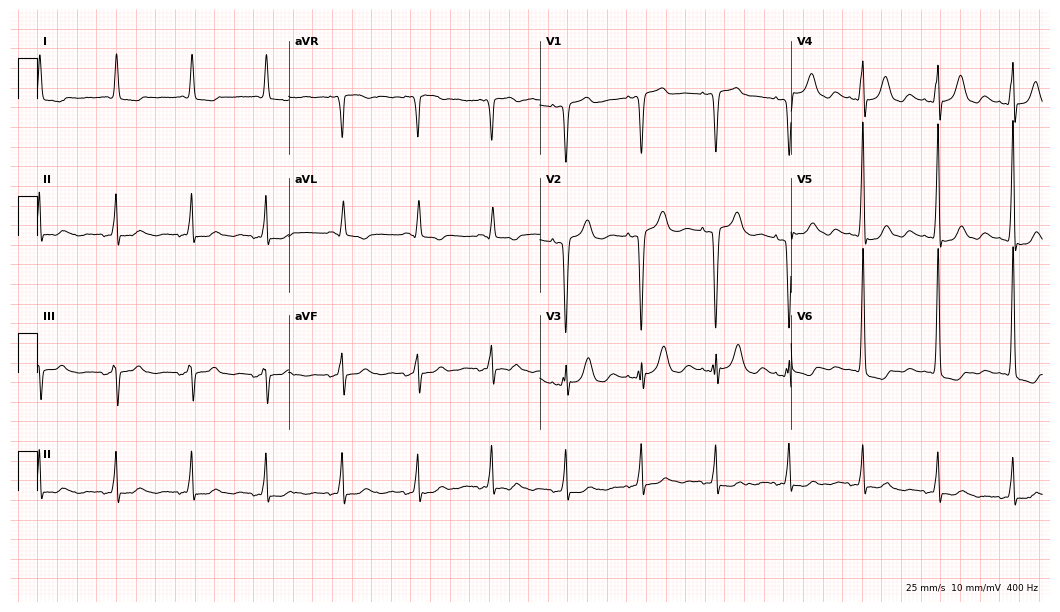
12-lead ECG from an 82-year-old female. No first-degree AV block, right bundle branch block, left bundle branch block, sinus bradycardia, atrial fibrillation or sinus tachycardia recorded for this tracing.